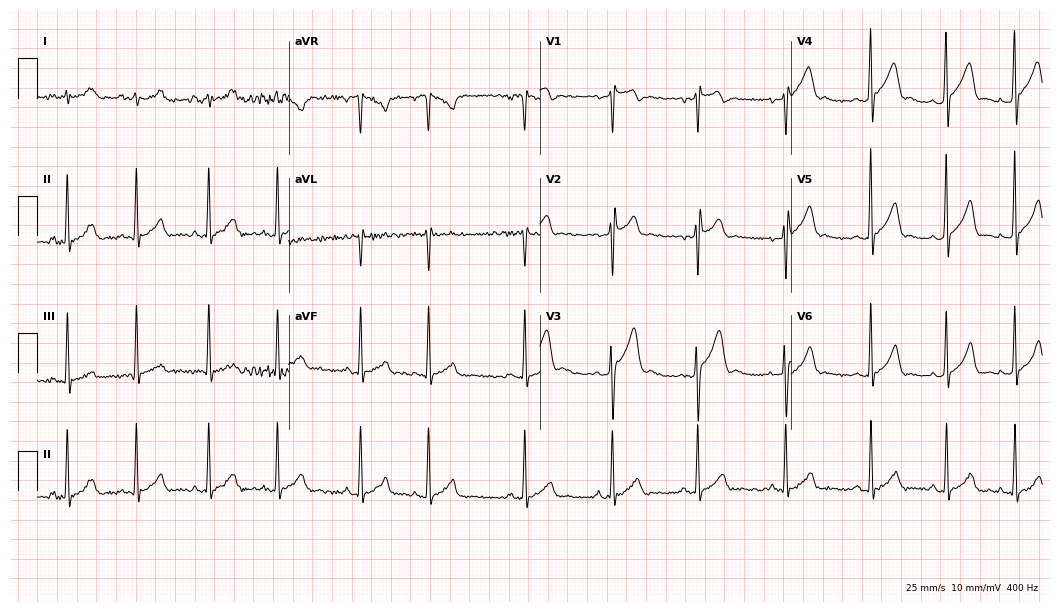
12-lead ECG from a man, 20 years old. Screened for six findings — first-degree AV block, right bundle branch block, left bundle branch block, sinus bradycardia, atrial fibrillation, sinus tachycardia — none is recorded.